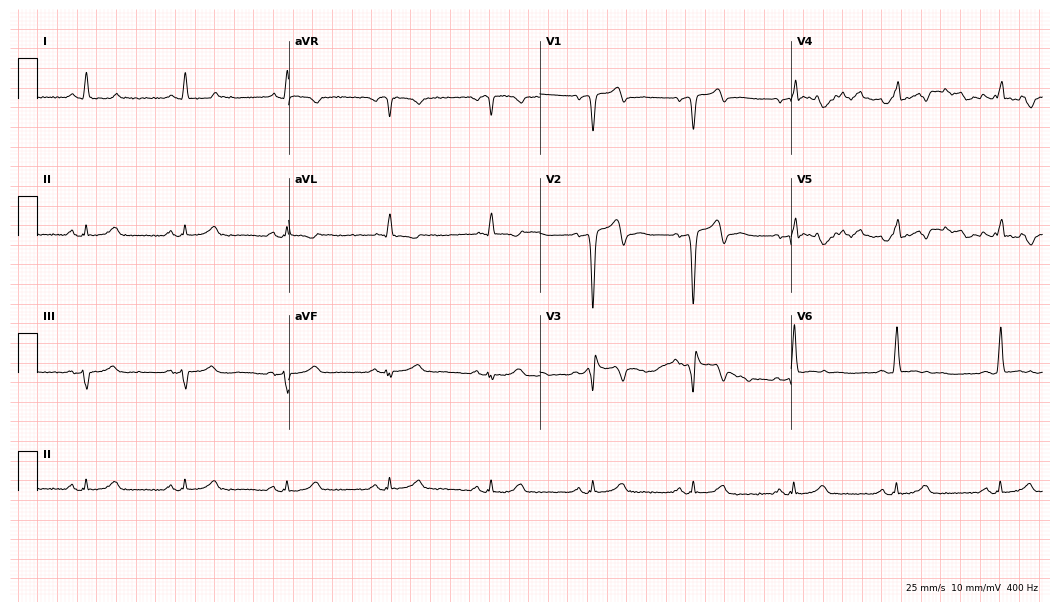
12-lead ECG from a 65-year-old man. No first-degree AV block, right bundle branch block, left bundle branch block, sinus bradycardia, atrial fibrillation or sinus tachycardia recorded for this tracing.